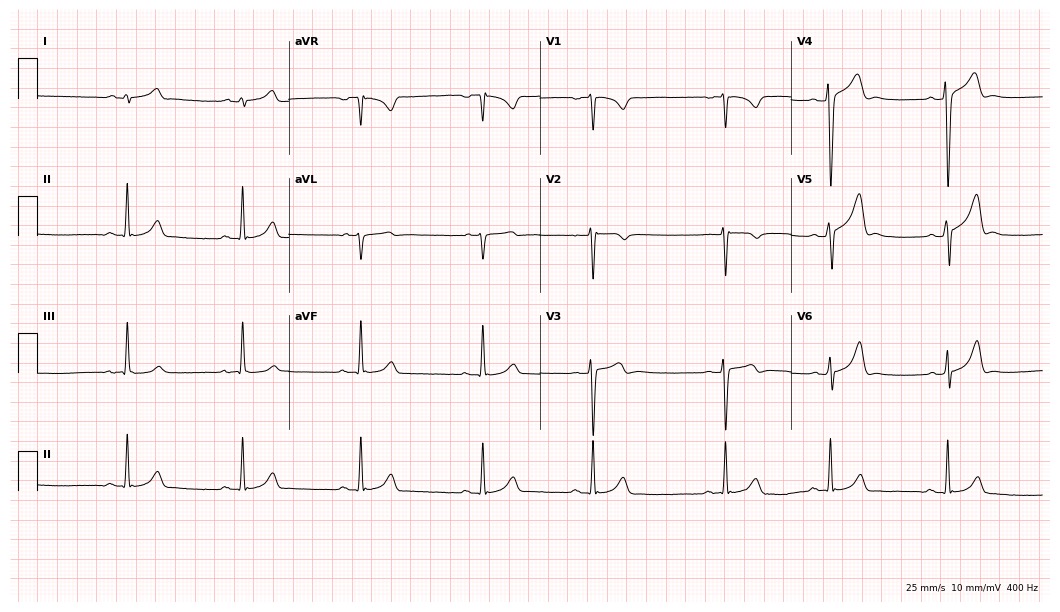
Electrocardiogram (10.2-second recording at 400 Hz), a 29-year-old male. Of the six screened findings (first-degree AV block, right bundle branch block, left bundle branch block, sinus bradycardia, atrial fibrillation, sinus tachycardia), none is recorded. Other findings, if any, are not listed.